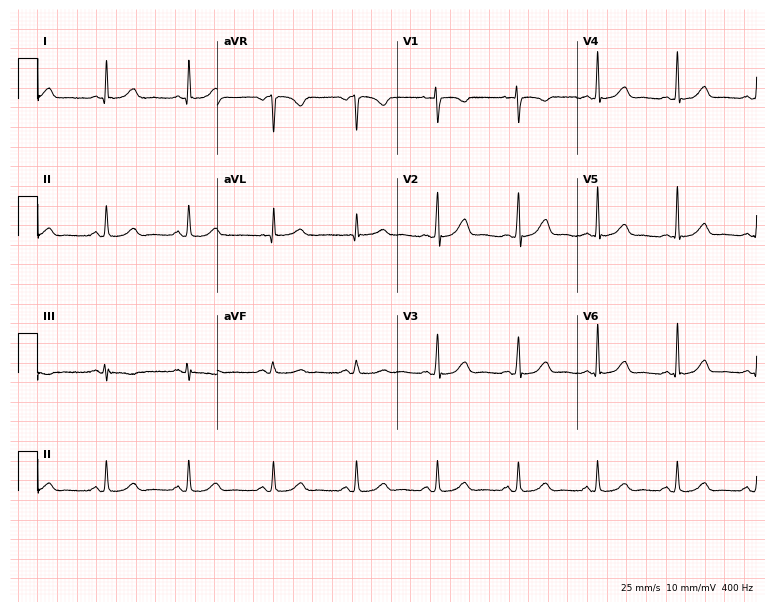
Electrocardiogram, a 41-year-old female. Overall reading on record: normal ECG.